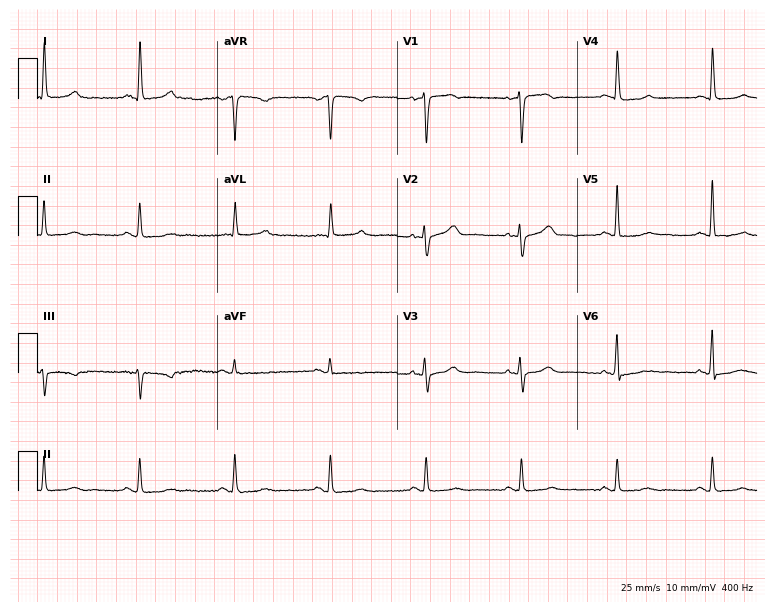
Resting 12-lead electrocardiogram (7.3-second recording at 400 Hz). Patient: a 71-year-old female. Read as a normal ECG.